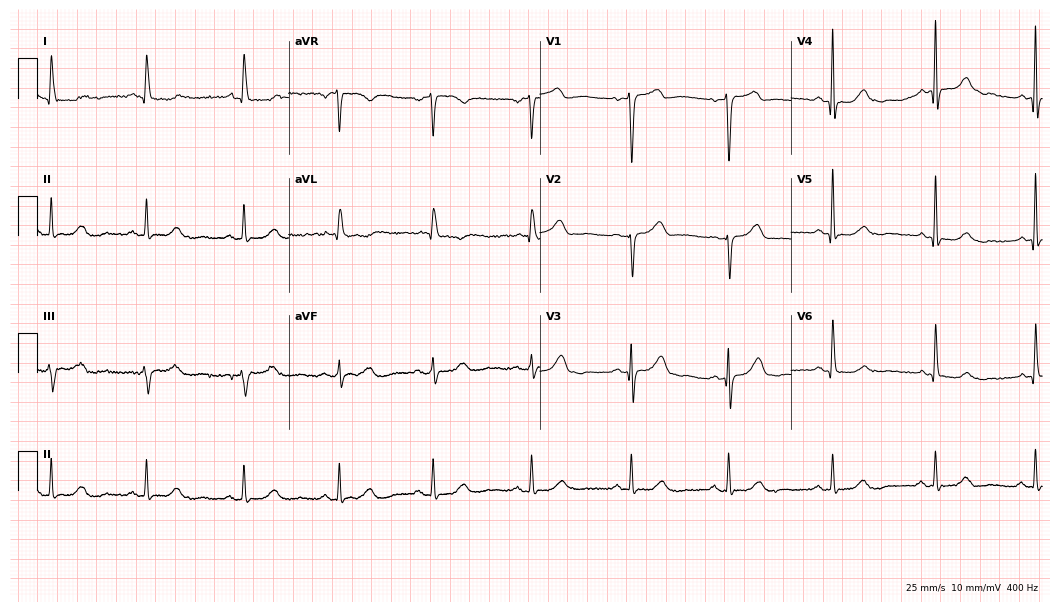
12-lead ECG from a female, 70 years old. Labelled as a normal ECG.